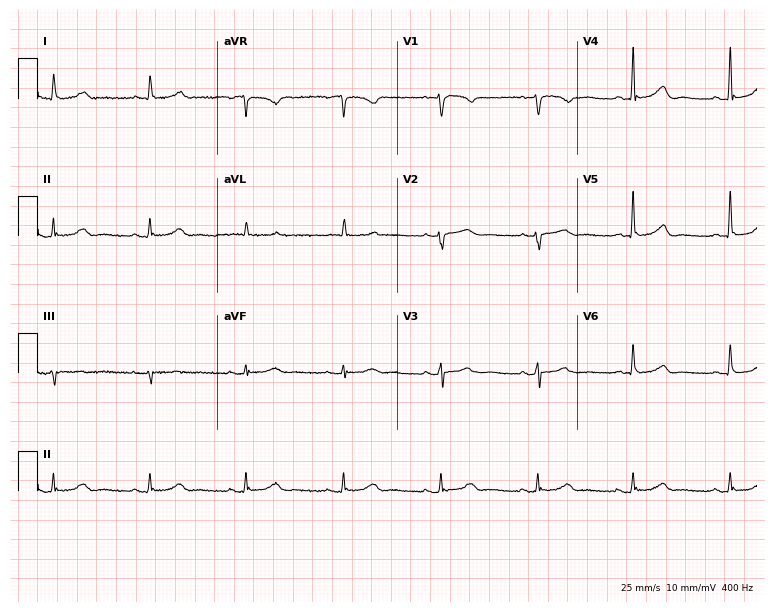
12-lead ECG (7.3-second recording at 400 Hz) from a female, 76 years old. Labelled as a normal ECG.